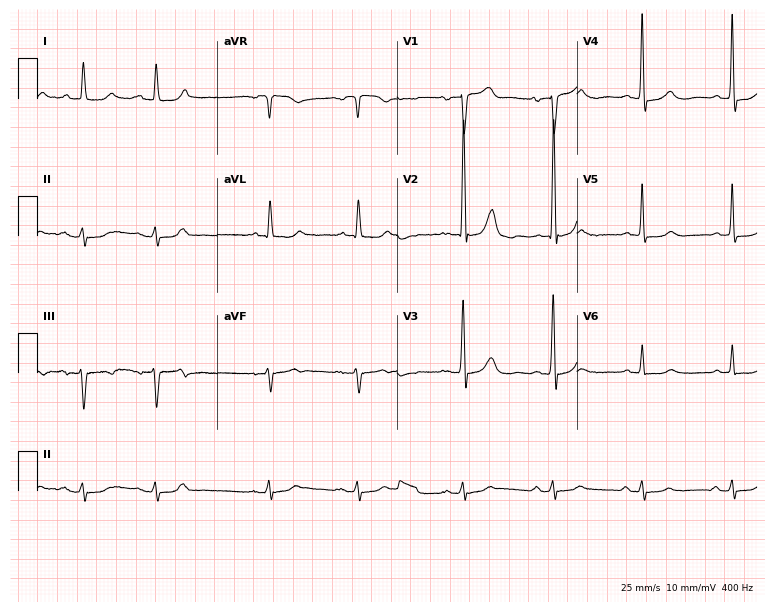
Electrocardiogram (7.3-second recording at 400 Hz), an 88-year-old male. Overall reading on record: normal ECG.